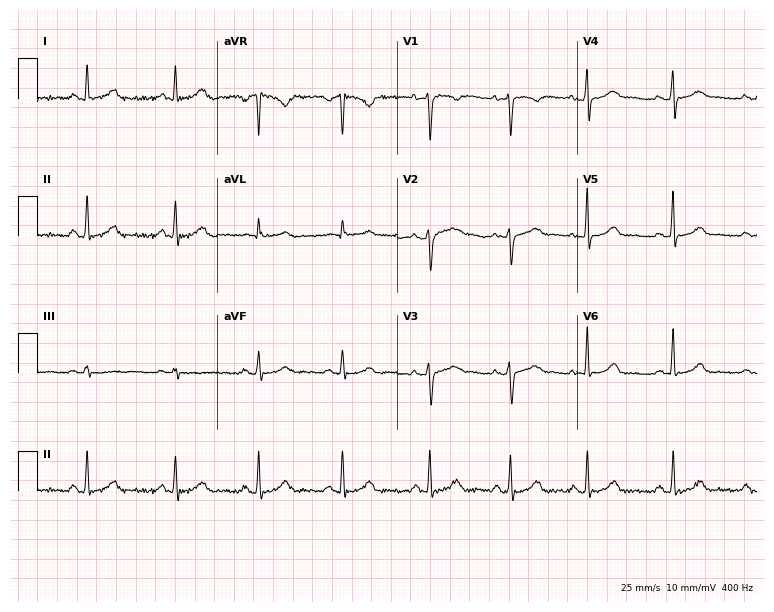
Resting 12-lead electrocardiogram. Patient: a 38-year-old woman. Read as a normal ECG.